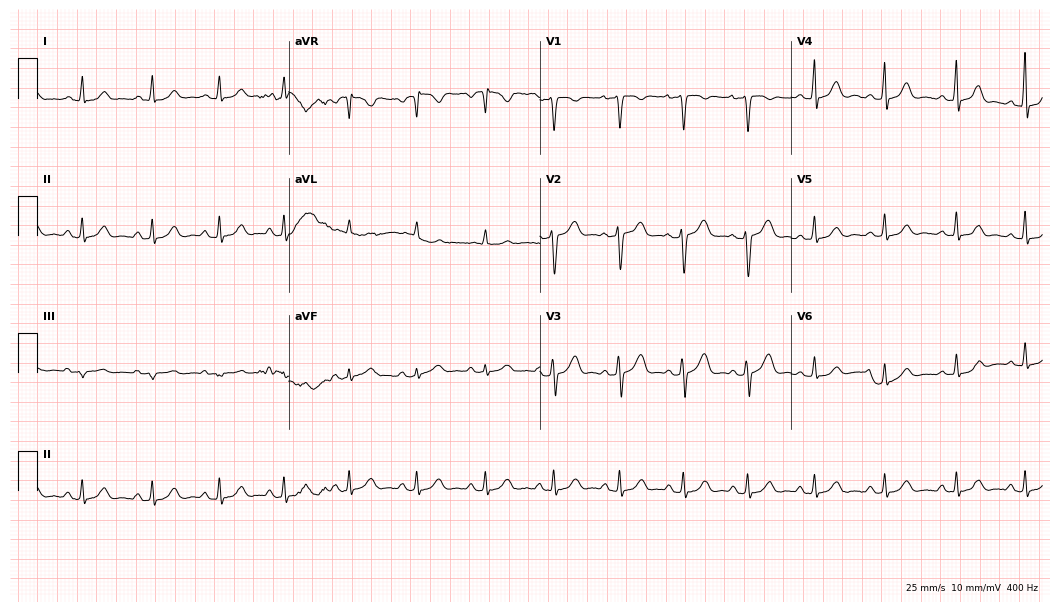
12-lead ECG from a 32-year-old woman. Labelled as a normal ECG.